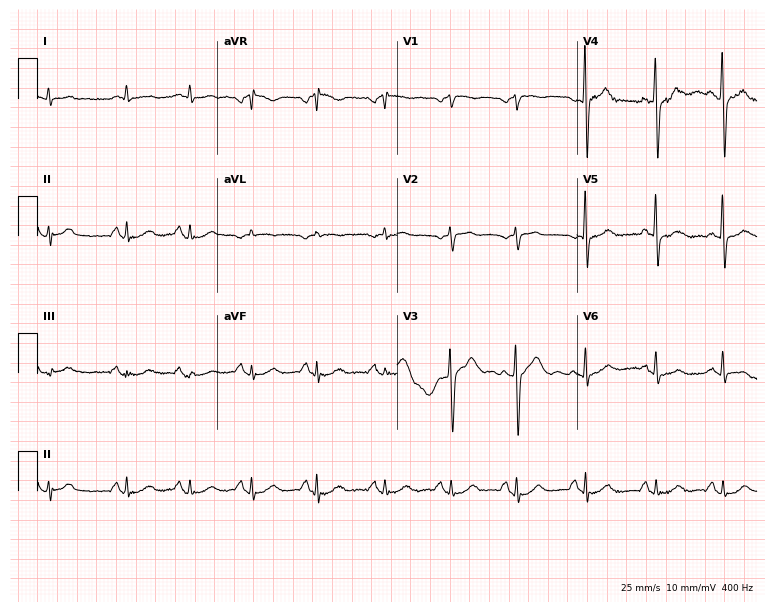
Standard 12-lead ECG recorded from a 71-year-old man. Read as a normal ECG.